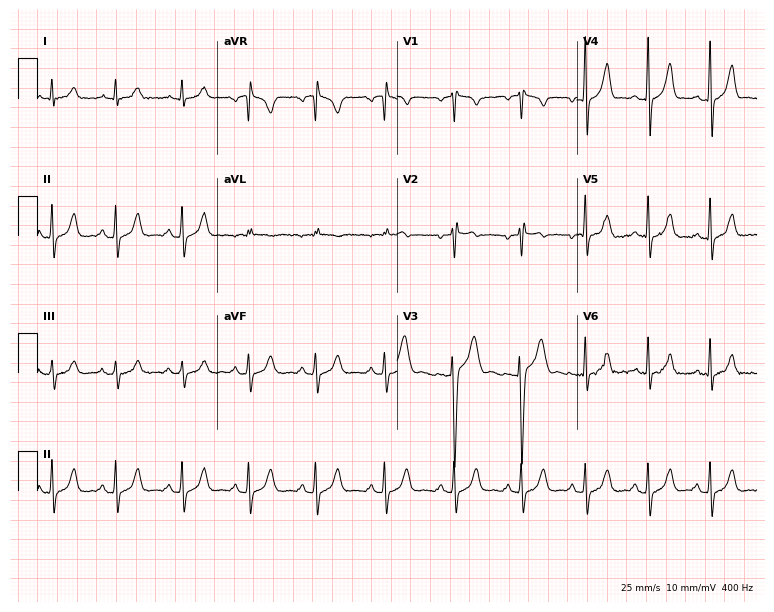
ECG — a 27-year-old male patient. Labelled as a normal ECG.